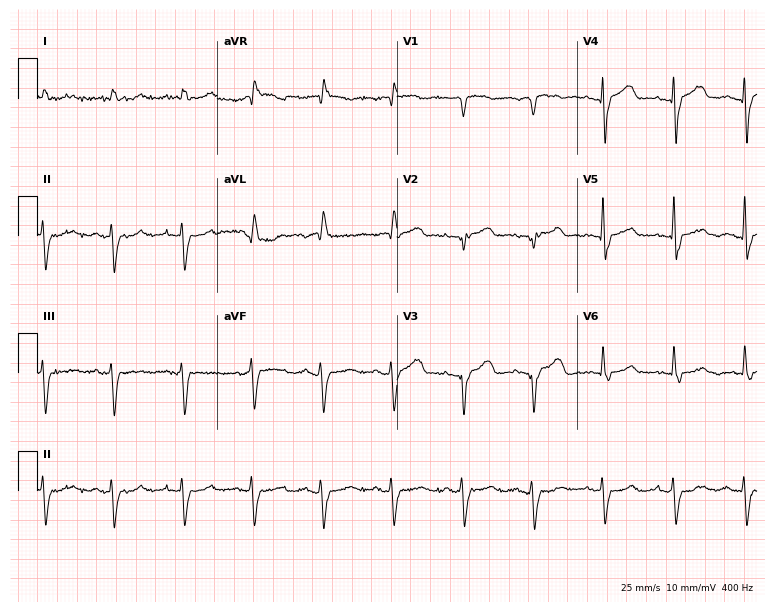
12-lead ECG from a male, 85 years old. No first-degree AV block, right bundle branch block (RBBB), left bundle branch block (LBBB), sinus bradycardia, atrial fibrillation (AF) or sinus tachycardia recorded for this tracing. Only these six findings were labelled.